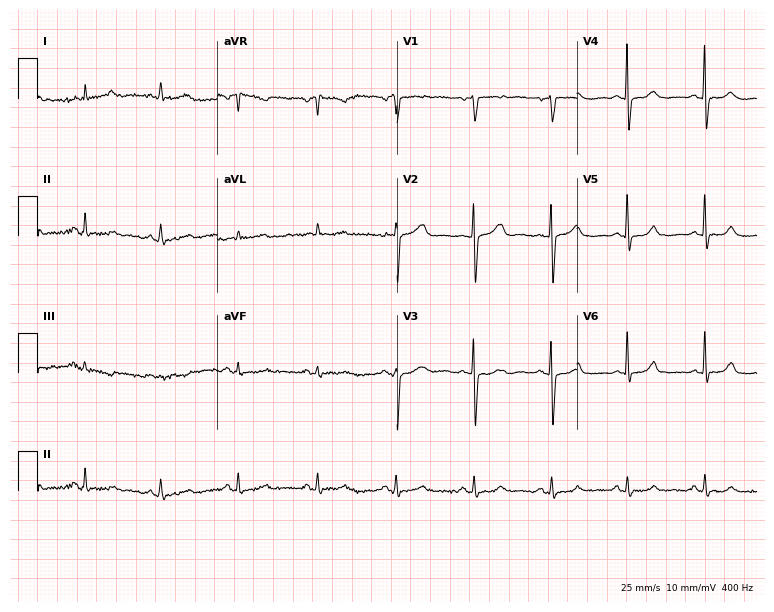
ECG (7.3-second recording at 400 Hz) — a 60-year-old woman. Labelled as a normal ECG.